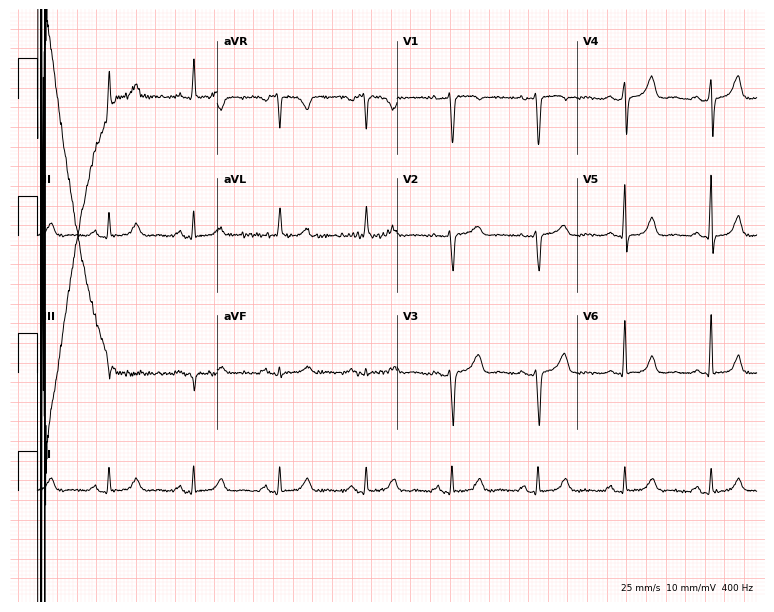
Resting 12-lead electrocardiogram (7.3-second recording at 400 Hz). Patient: a 52-year-old female. Read as a normal ECG.